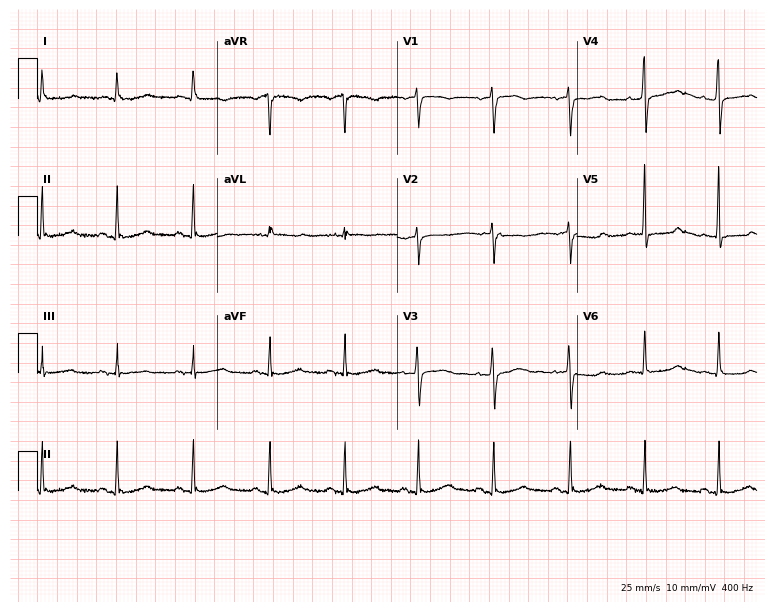
Electrocardiogram (7.3-second recording at 400 Hz), a 53-year-old female patient. Overall reading on record: normal ECG.